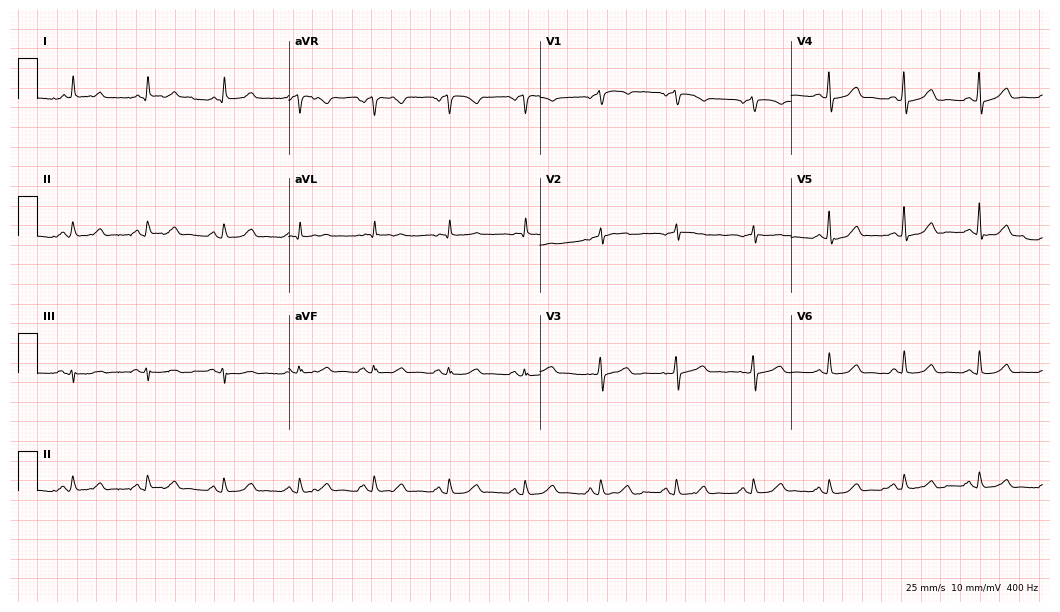
Electrocardiogram (10.2-second recording at 400 Hz), an 84-year-old female patient. Overall reading on record: normal ECG.